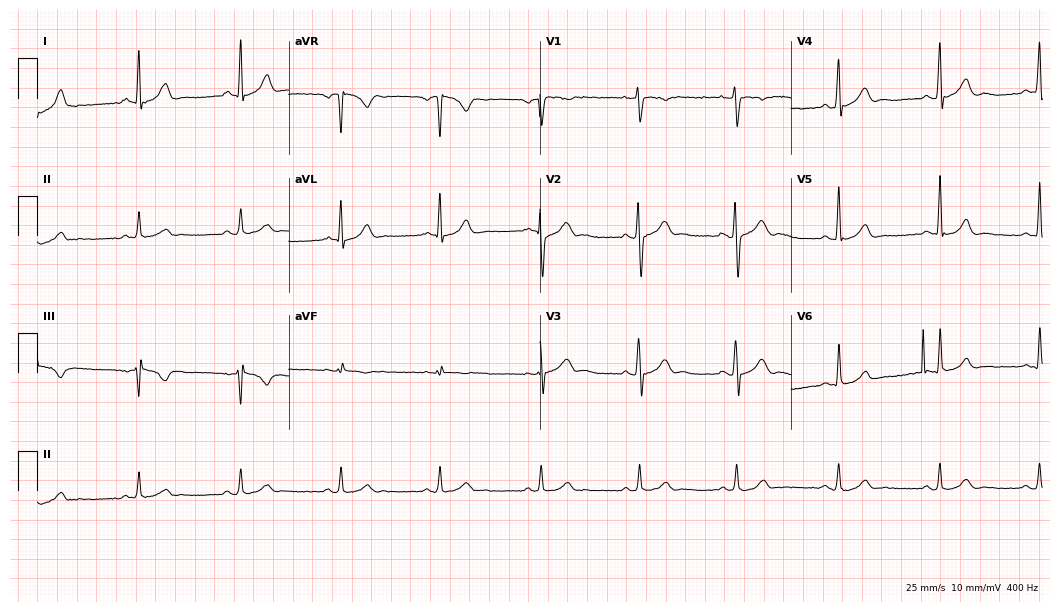
Electrocardiogram (10.2-second recording at 400 Hz), a man, 28 years old. Overall reading on record: normal ECG.